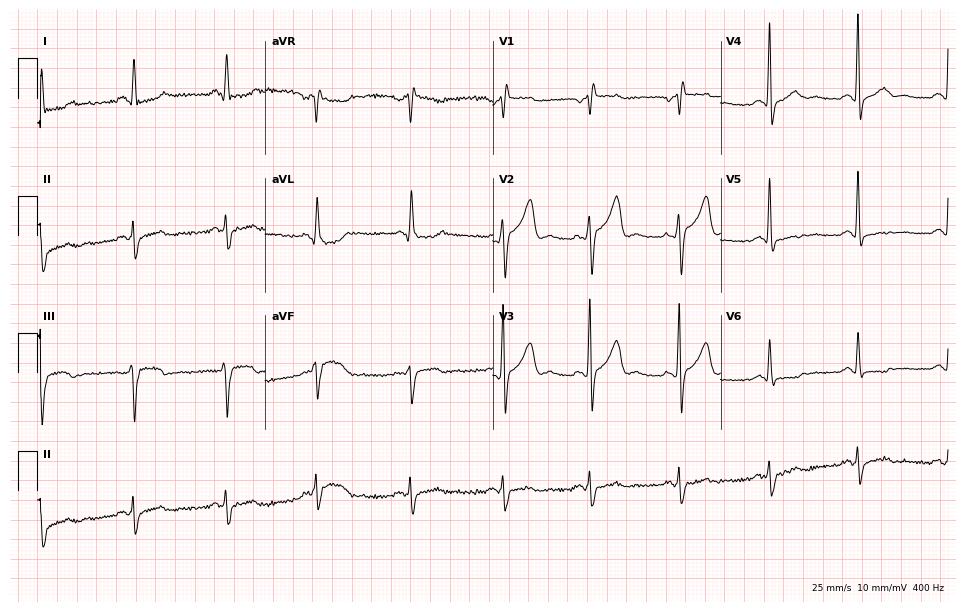
12-lead ECG from a 42-year-old female (9.3-second recording at 400 Hz). No first-degree AV block, right bundle branch block, left bundle branch block, sinus bradycardia, atrial fibrillation or sinus tachycardia recorded for this tracing.